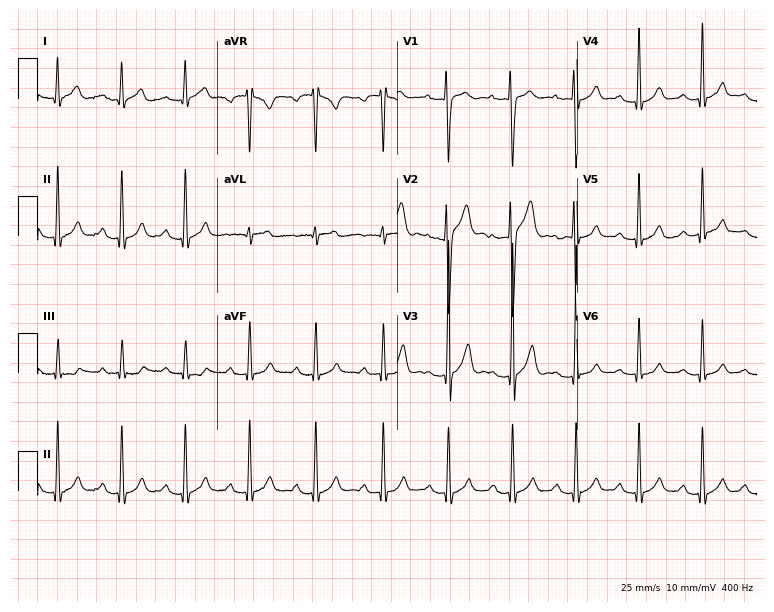
ECG — an 18-year-old male. Labelled as a normal ECG.